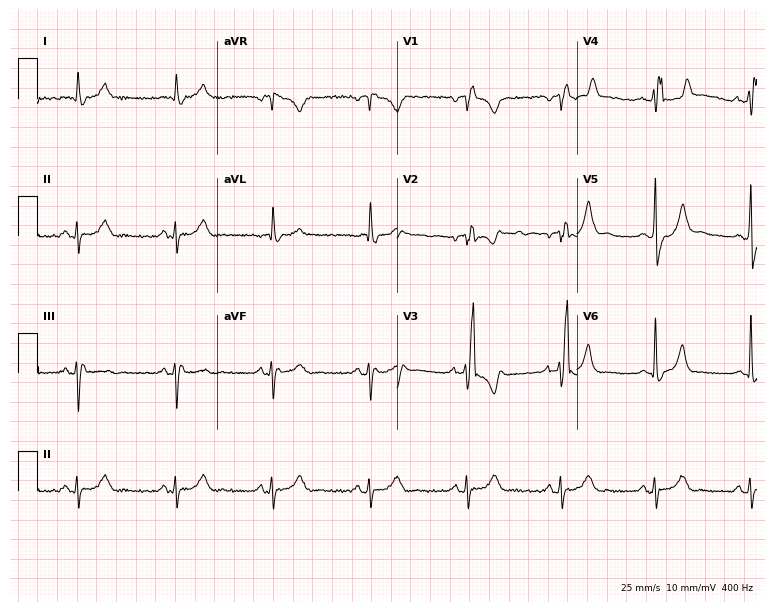
12-lead ECG (7.3-second recording at 400 Hz) from a man, 69 years old. Screened for six findings — first-degree AV block, right bundle branch block (RBBB), left bundle branch block (LBBB), sinus bradycardia, atrial fibrillation (AF), sinus tachycardia — none is recorded.